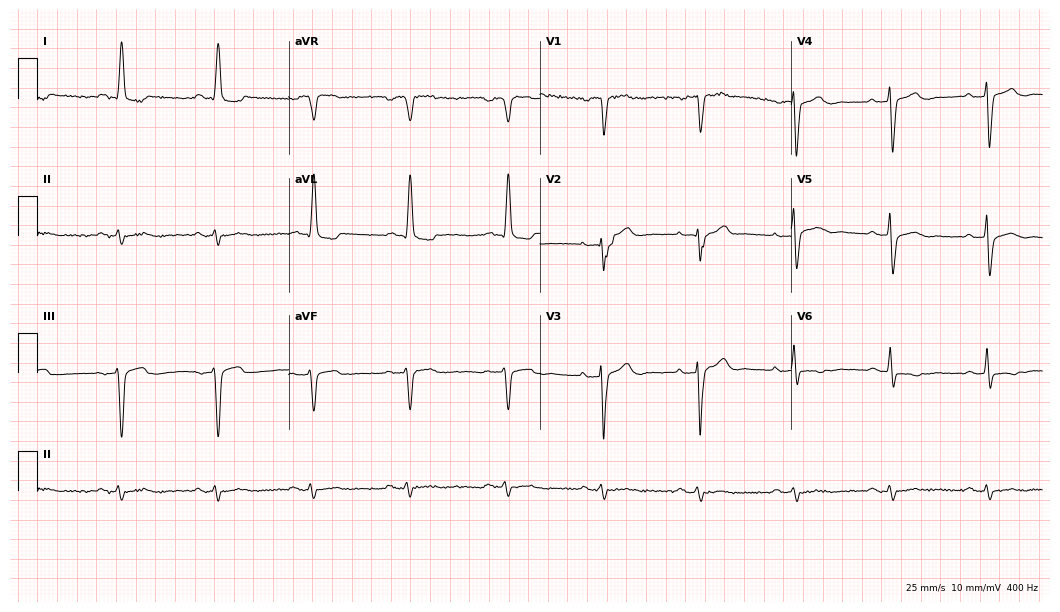
ECG (10.2-second recording at 400 Hz) — an 85-year-old male. Screened for six findings — first-degree AV block, right bundle branch block, left bundle branch block, sinus bradycardia, atrial fibrillation, sinus tachycardia — none is recorded.